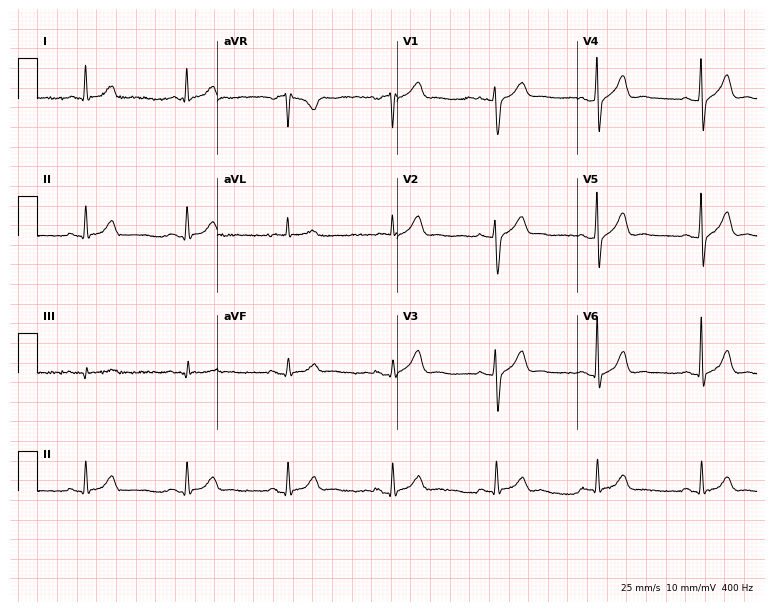
Resting 12-lead electrocardiogram (7.3-second recording at 400 Hz). Patient: a male, 47 years old. Read as a normal ECG.